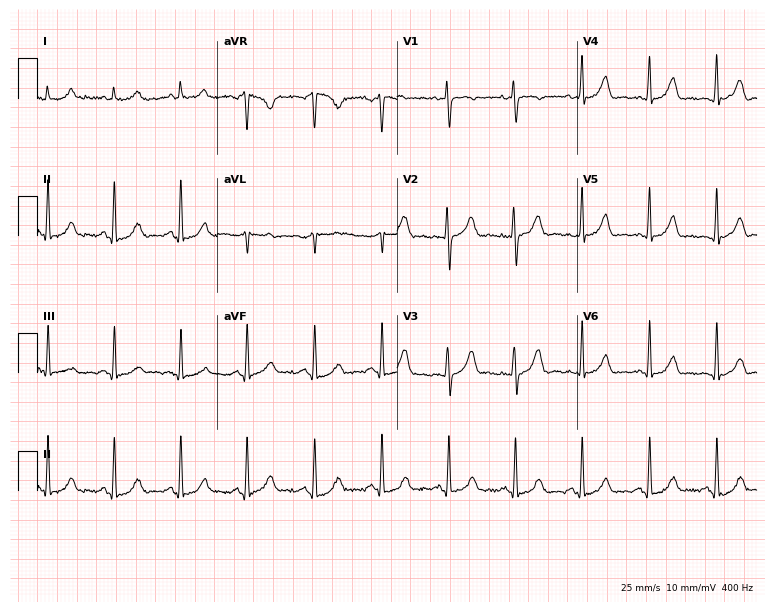
Resting 12-lead electrocardiogram (7.3-second recording at 400 Hz). Patient: a female, 45 years old. None of these six findings is recorded: first-degree AV block, right bundle branch block, left bundle branch block, sinus bradycardia, atrial fibrillation, sinus tachycardia. Only these six findings were labelled.